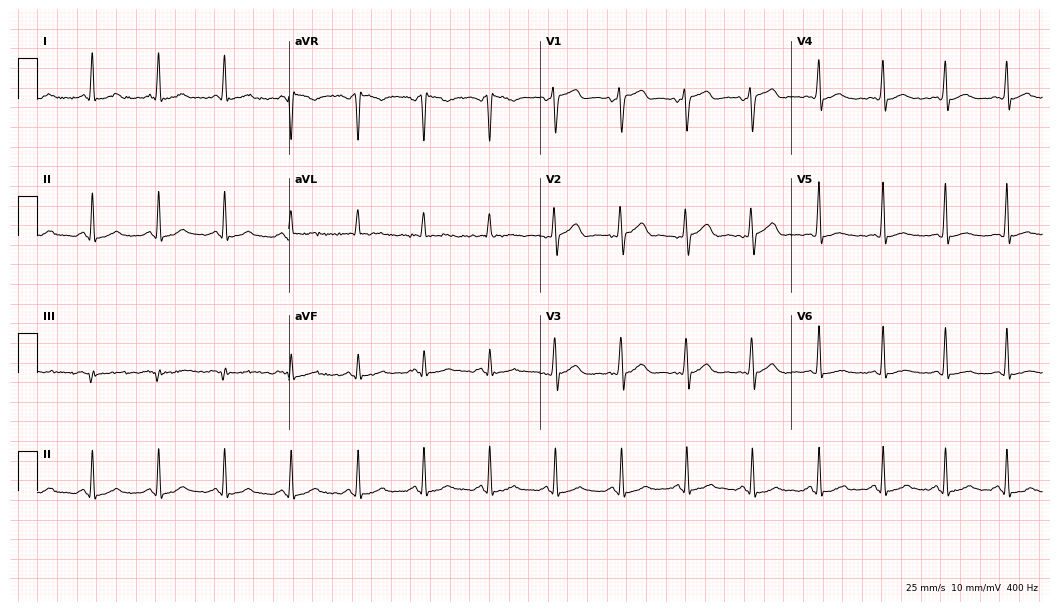
Electrocardiogram, a 43-year-old male patient. Overall reading on record: normal ECG.